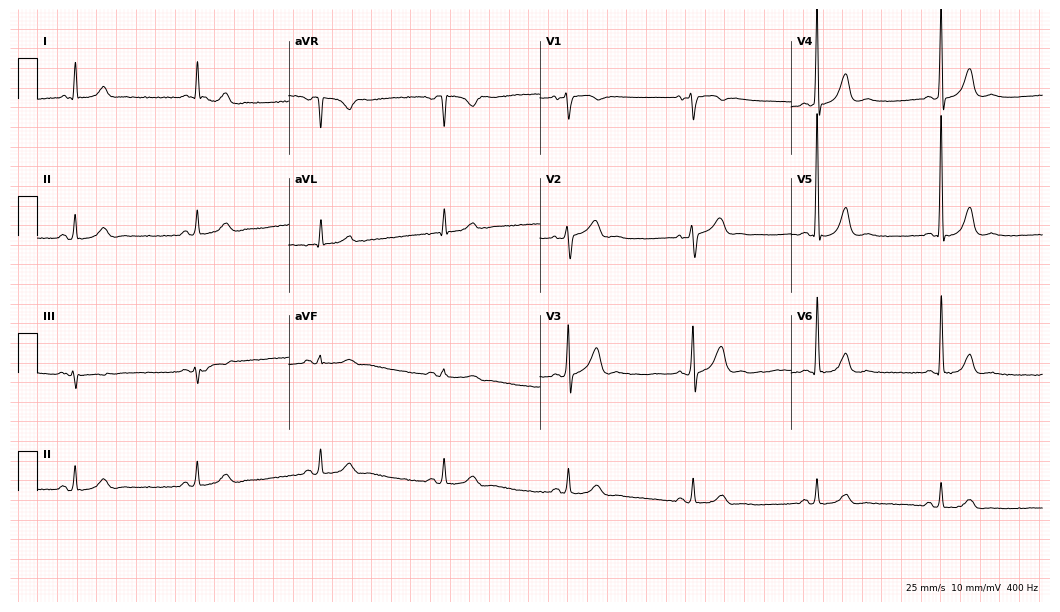
12-lead ECG (10.2-second recording at 400 Hz) from a male patient, 77 years old. Findings include sinus bradycardia (a sinus rate of 50 beats per minute or less).